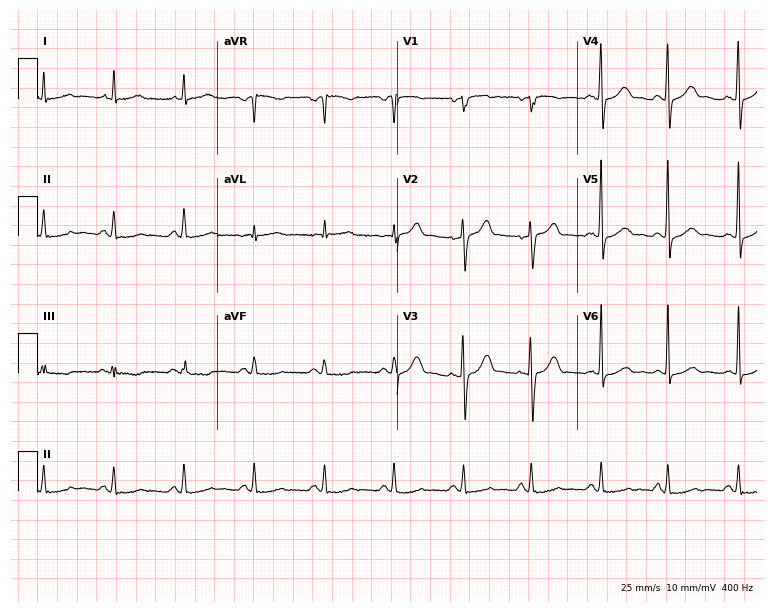
Resting 12-lead electrocardiogram. Patient: a male, 77 years old. None of these six findings is recorded: first-degree AV block, right bundle branch block, left bundle branch block, sinus bradycardia, atrial fibrillation, sinus tachycardia.